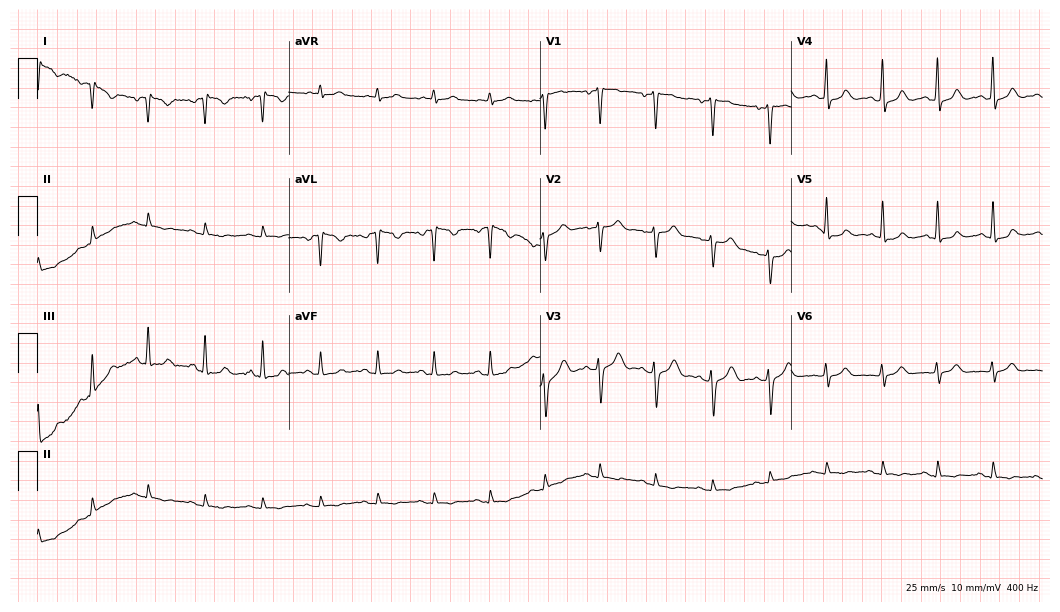
12-lead ECG from a female, 54 years old. No first-degree AV block, right bundle branch block, left bundle branch block, sinus bradycardia, atrial fibrillation or sinus tachycardia recorded for this tracing. Other findings, if any, are not listed.